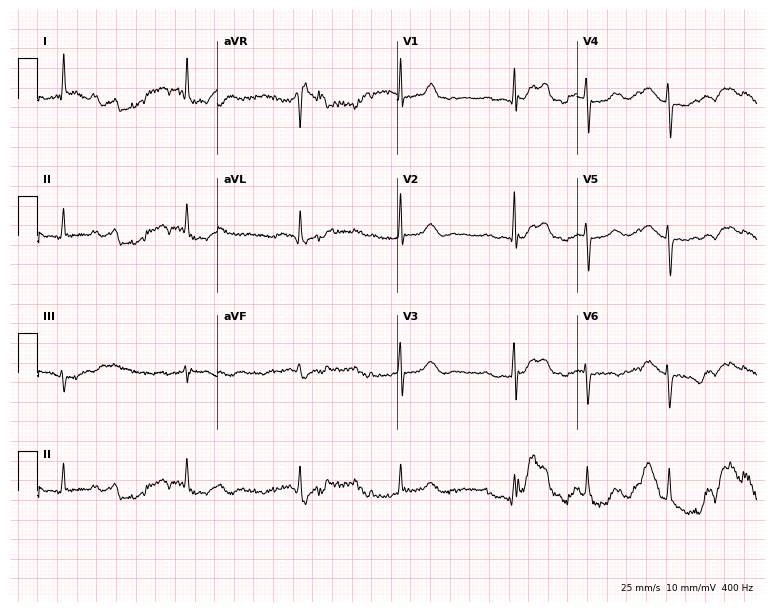
Resting 12-lead electrocardiogram (7.3-second recording at 400 Hz). Patient: an 81-year-old woman. None of these six findings is recorded: first-degree AV block, right bundle branch block (RBBB), left bundle branch block (LBBB), sinus bradycardia, atrial fibrillation (AF), sinus tachycardia.